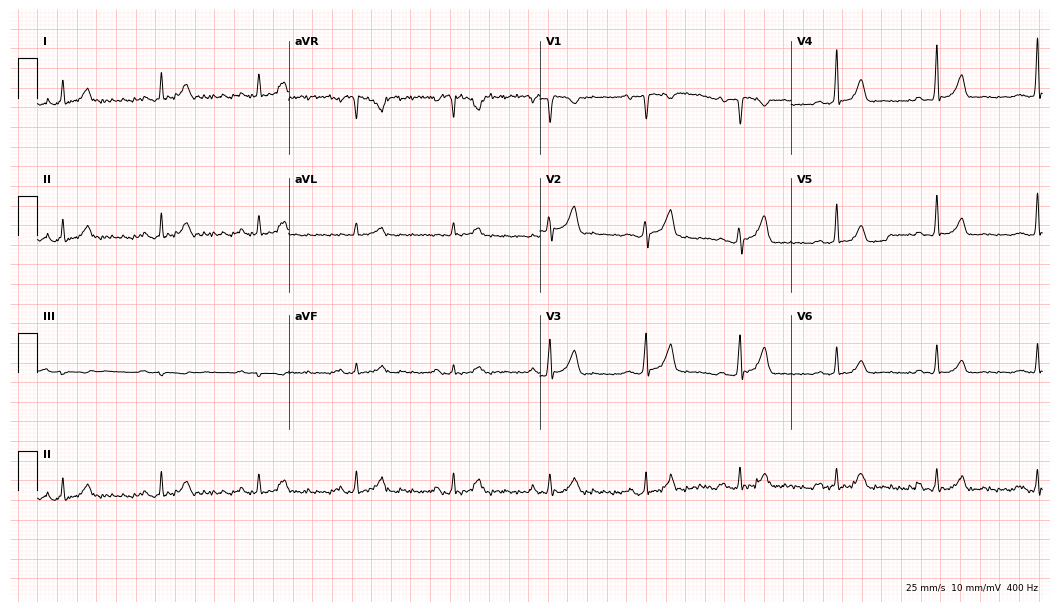
ECG — a man, 63 years old. Labelled as a normal ECG.